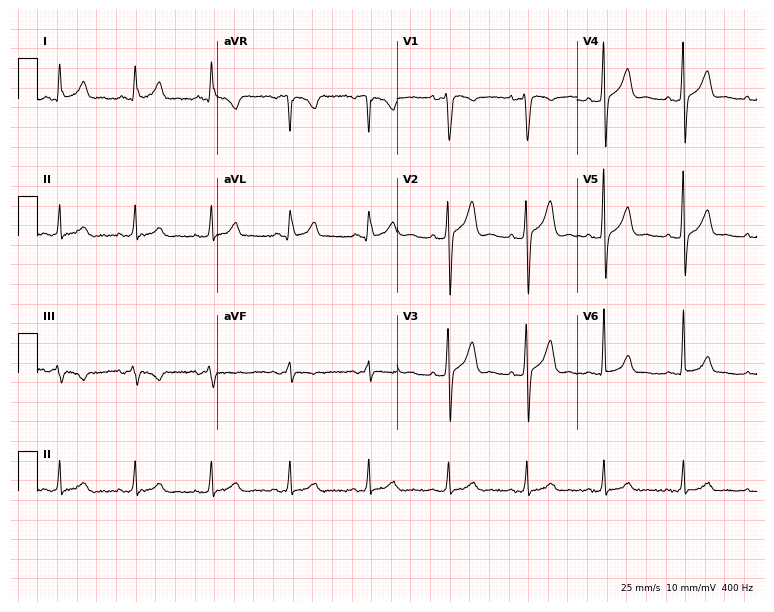
Electrocardiogram (7.3-second recording at 400 Hz), a male patient, 38 years old. Overall reading on record: normal ECG.